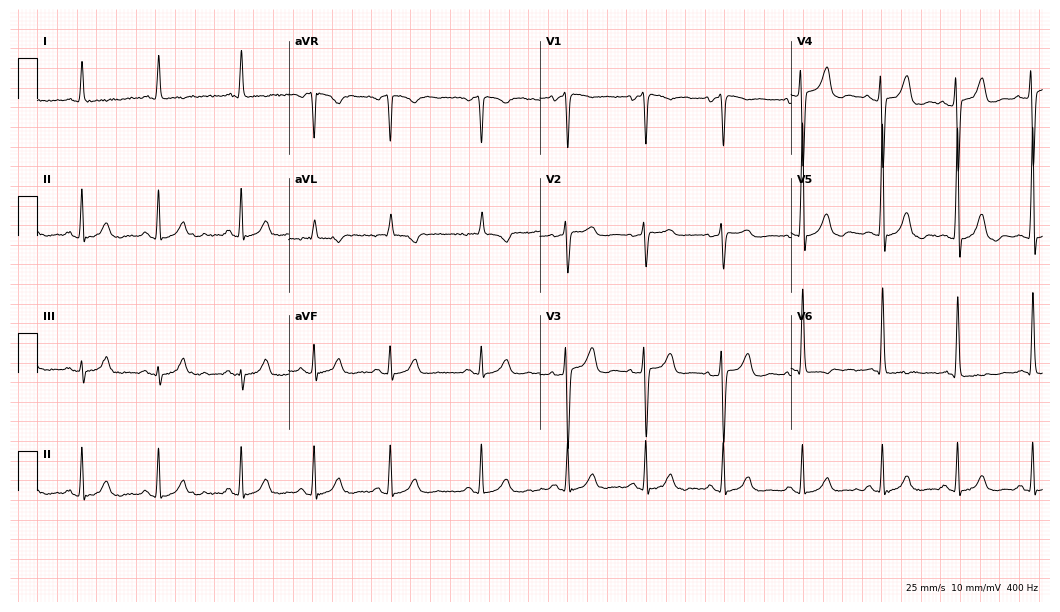
ECG (10.2-second recording at 400 Hz) — a 54-year-old female. Screened for six findings — first-degree AV block, right bundle branch block (RBBB), left bundle branch block (LBBB), sinus bradycardia, atrial fibrillation (AF), sinus tachycardia — none is recorded.